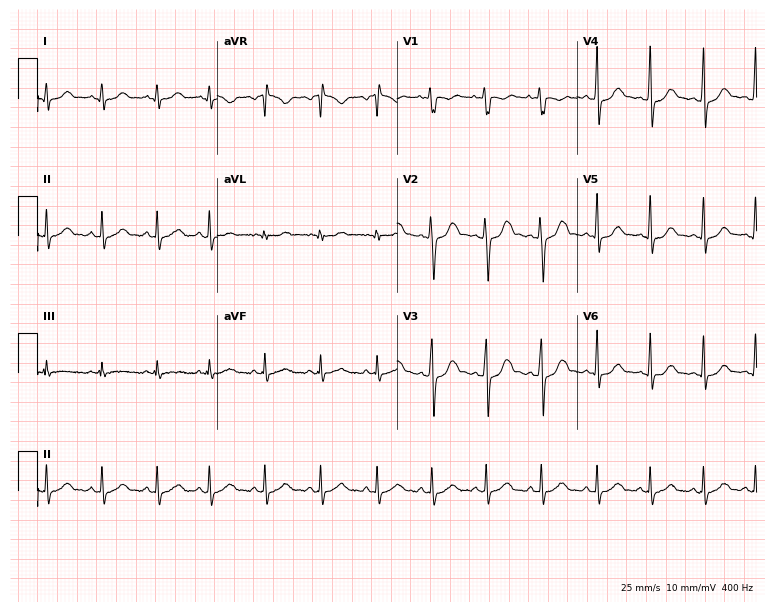
12-lead ECG (7.3-second recording at 400 Hz) from a female, 19 years old. Findings include sinus tachycardia (a sinus rate of 100 beats per minute or more).